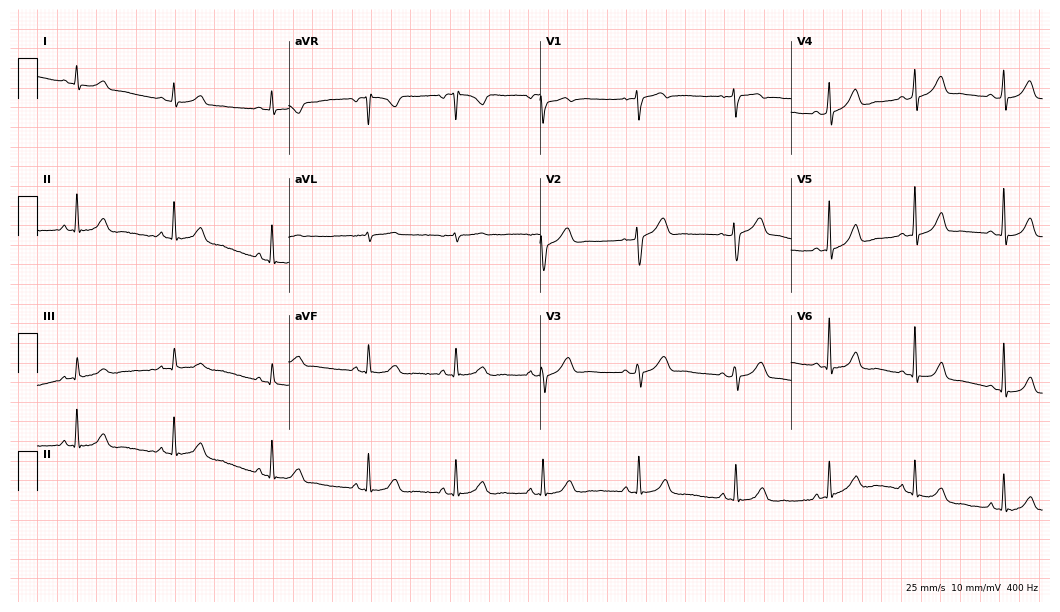
Standard 12-lead ECG recorded from a 42-year-old female. Read as a normal ECG.